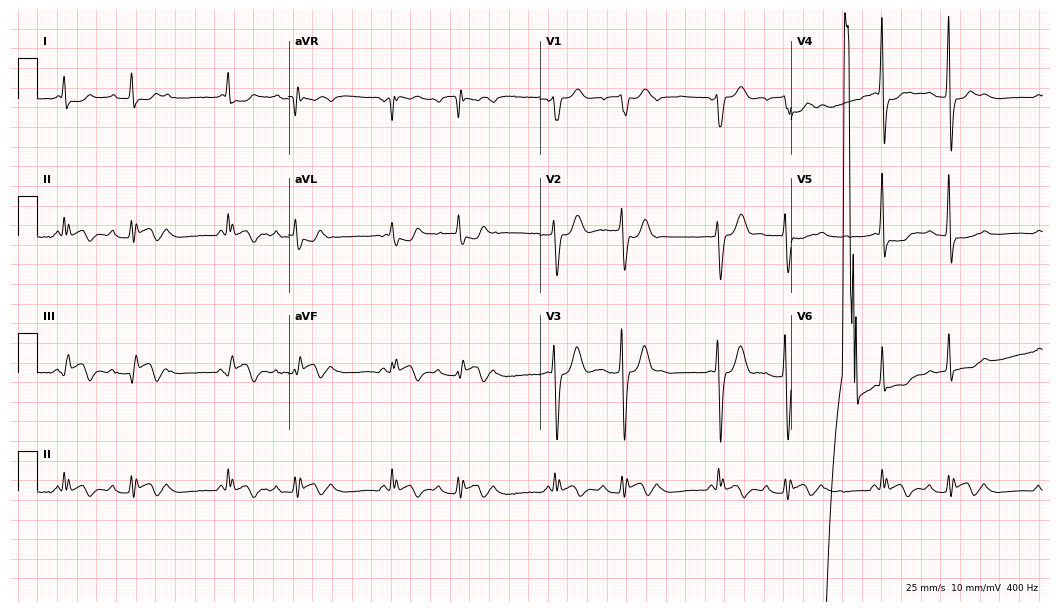
12-lead ECG from a 57-year-old male. No first-degree AV block, right bundle branch block, left bundle branch block, sinus bradycardia, atrial fibrillation or sinus tachycardia recorded for this tracing. Findings outside these six are not listed.